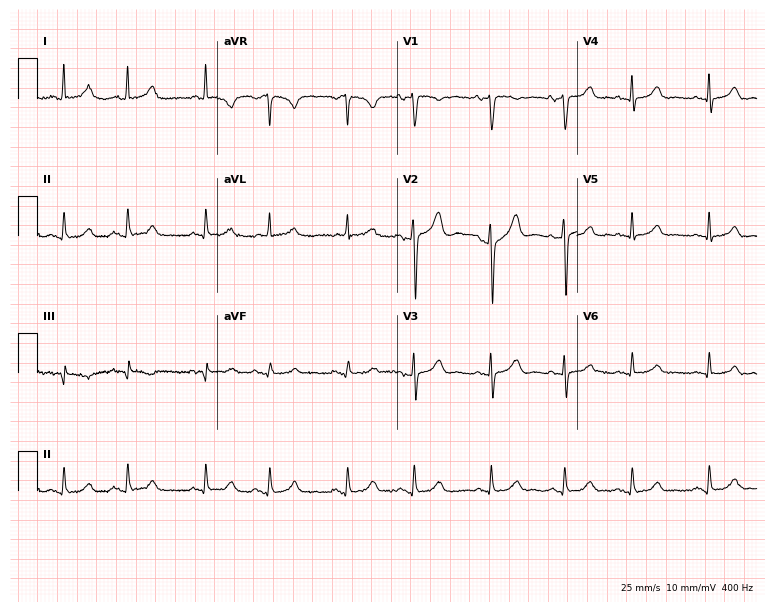
12-lead ECG from a 74-year-old female patient. Recorded interpretation: within normal limits.